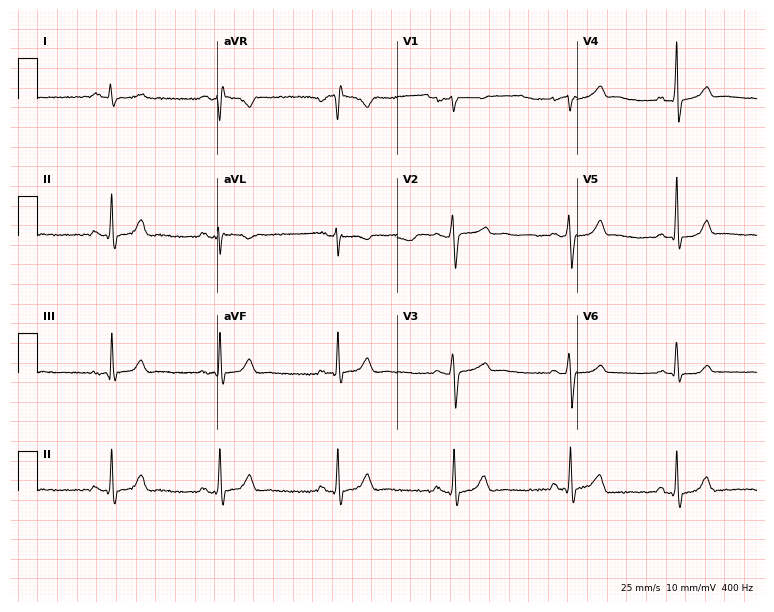
Resting 12-lead electrocardiogram (7.3-second recording at 400 Hz). Patient: an 18-year-old female. Read as a normal ECG.